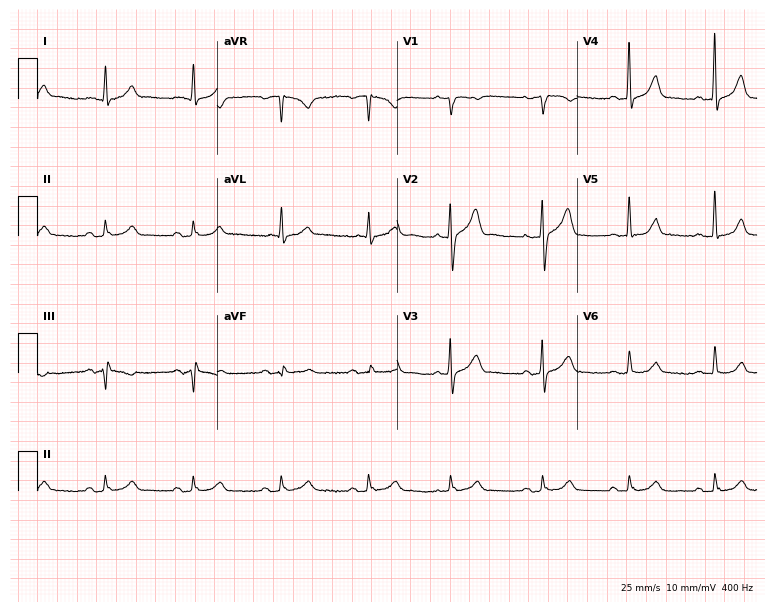
12-lead ECG from a 65-year-old man (7.3-second recording at 400 Hz). Recorded interpretation: within normal limits.